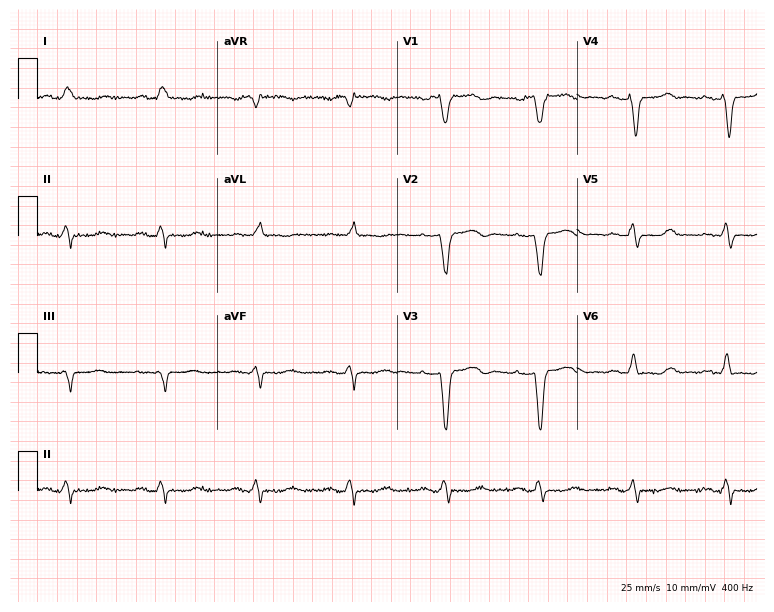
Electrocardiogram (7.3-second recording at 400 Hz), a female, 73 years old. Interpretation includes first-degree AV block, left bundle branch block.